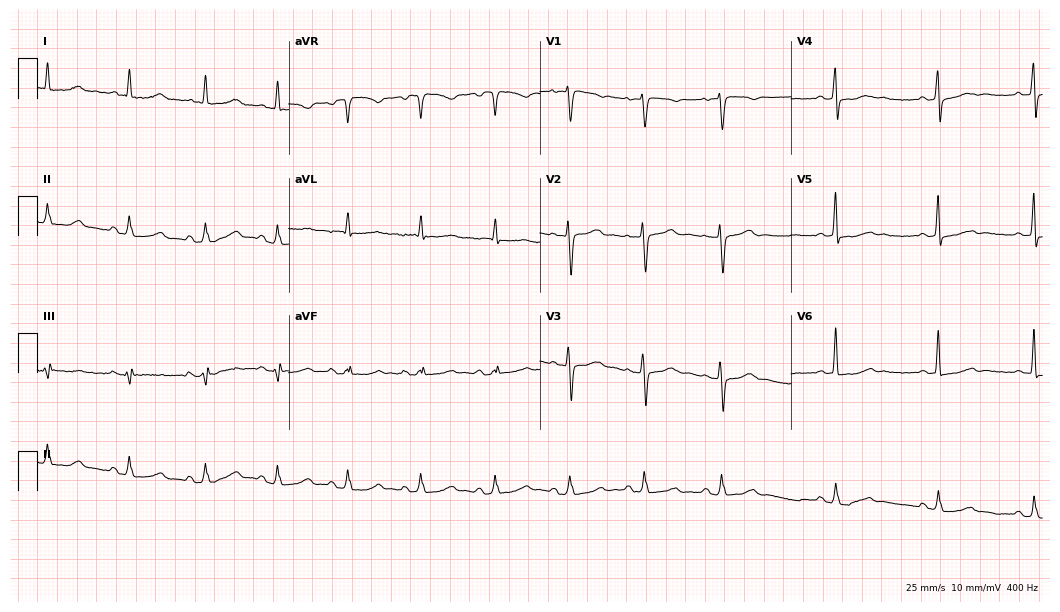
12-lead ECG from a female, 70 years old (10.2-second recording at 400 Hz). Recorded interpretation: within normal limits.